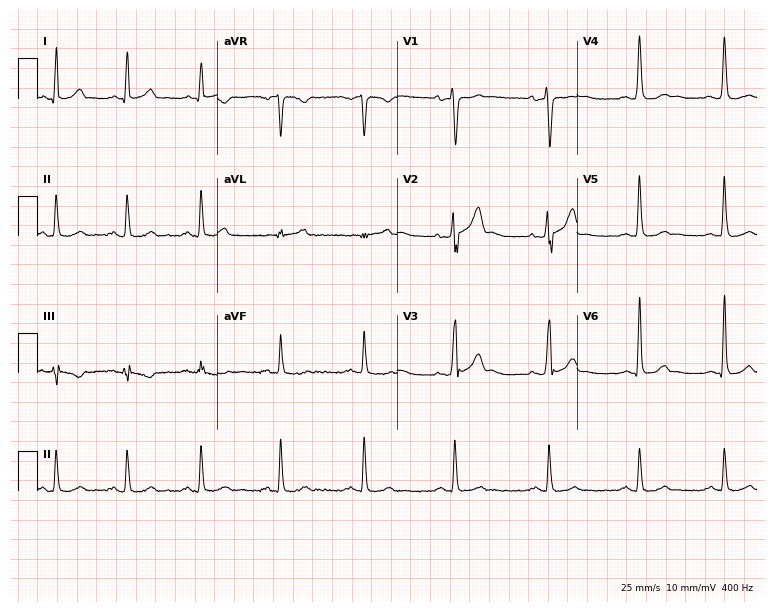
12-lead ECG from a male, 40 years old (7.3-second recording at 400 Hz). Recorded interpretation: within normal limits.